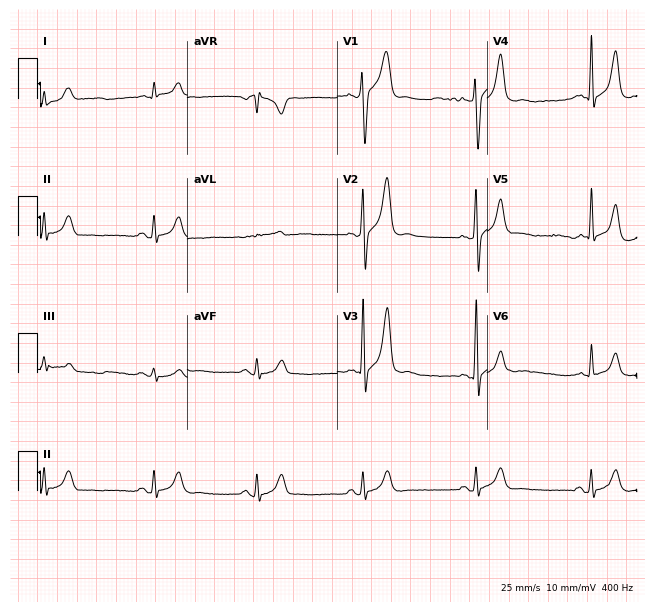
Resting 12-lead electrocardiogram (6.1-second recording at 400 Hz). Patient: a male, 71 years old. None of these six findings is recorded: first-degree AV block, right bundle branch block, left bundle branch block, sinus bradycardia, atrial fibrillation, sinus tachycardia. Findings outside these six are not listed.